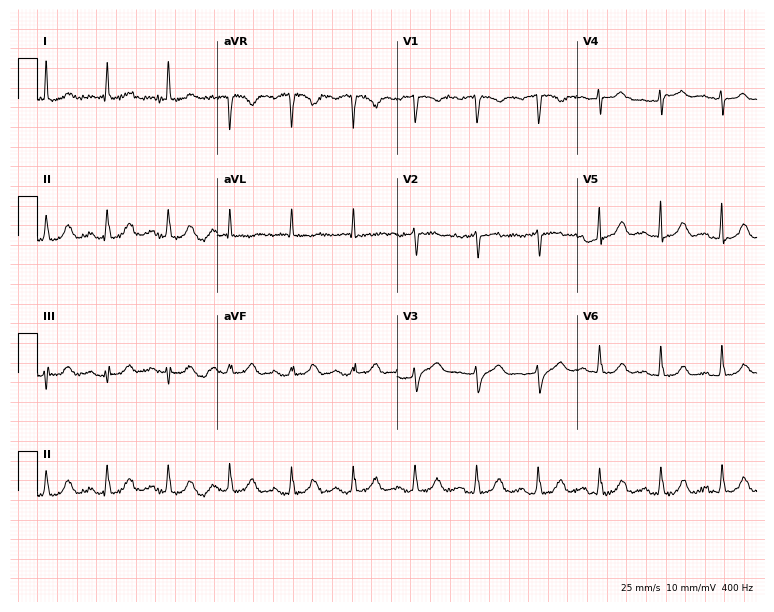
12-lead ECG from a female, 76 years old (7.3-second recording at 400 Hz). Recorded interpretation: within normal limits.